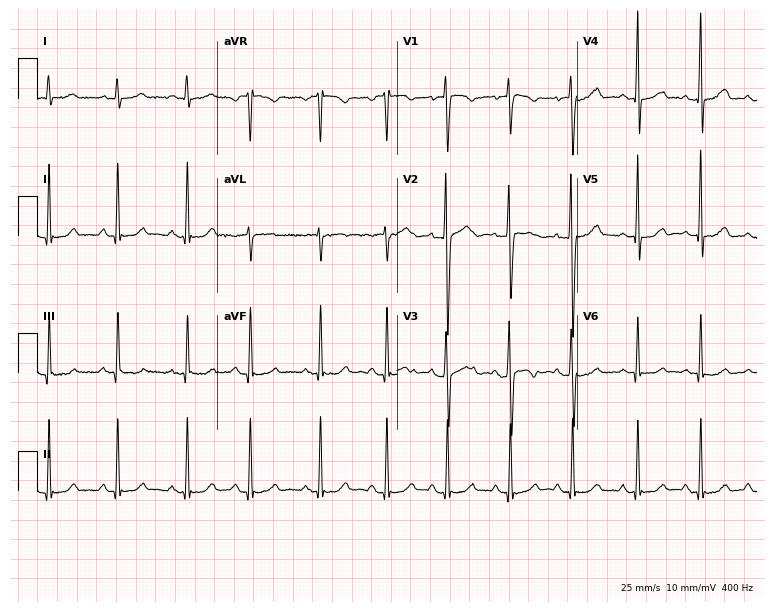
ECG — a 29-year-old woman. Screened for six findings — first-degree AV block, right bundle branch block (RBBB), left bundle branch block (LBBB), sinus bradycardia, atrial fibrillation (AF), sinus tachycardia — none is recorded. Only these six findings were labelled.